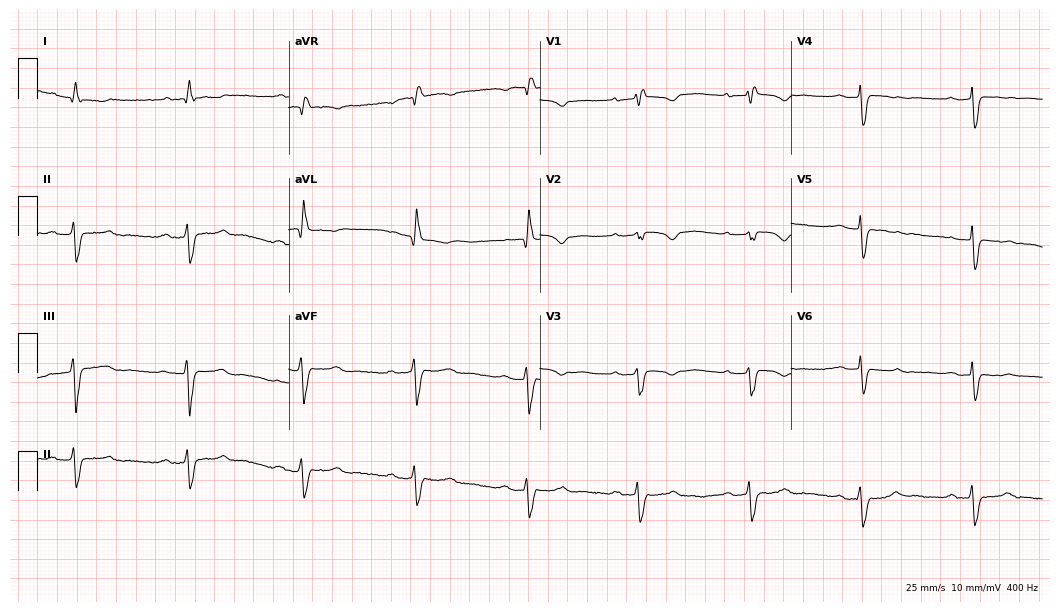
Standard 12-lead ECG recorded from a 54-year-old female patient. None of these six findings is recorded: first-degree AV block, right bundle branch block, left bundle branch block, sinus bradycardia, atrial fibrillation, sinus tachycardia. Findings outside these six are not listed.